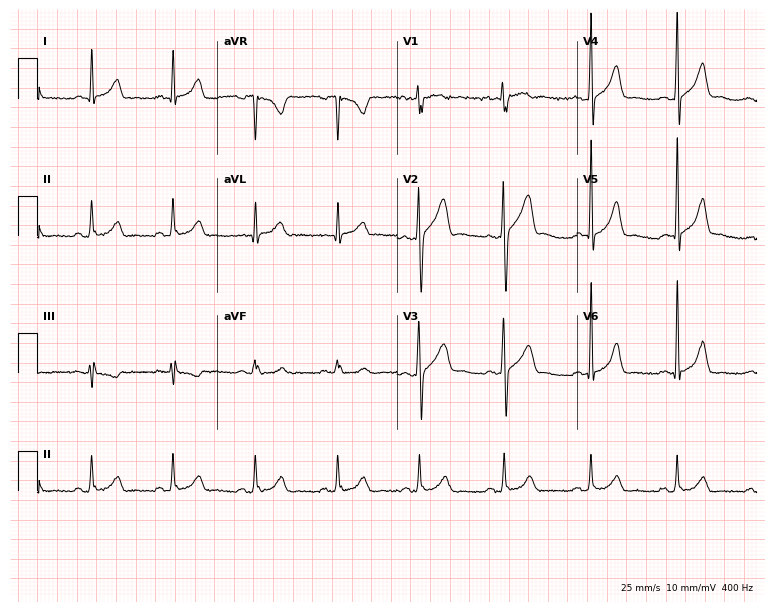
Electrocardiogram, a 43-year-old male. Overall reading on record: normal ECG.